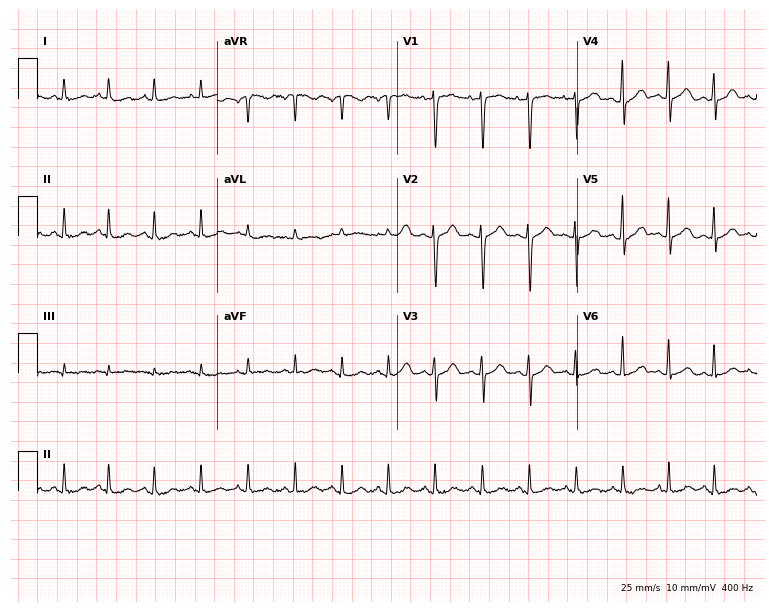
12-lead ECG from a female patient, 42 years old. Findings include sinus tachycardia (a sinus rate of 100 beats per minute or more).